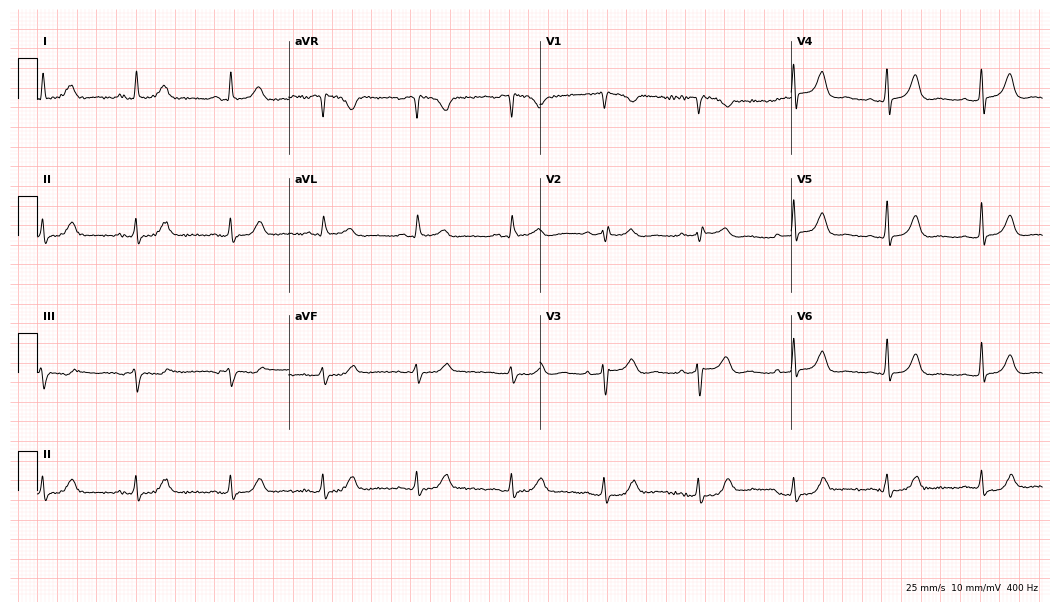
Resting 12-lead electrocardiogram (10.2-second recording at 400 Hz). Patient: a 67-year-old woman. None of these six findings is recorded: first-degree AV block, right bundle branch block, left bundle branch block, sinus bradycardia, atrial fibrillation, sinus tachycardia. Findings outside these six are not listed.